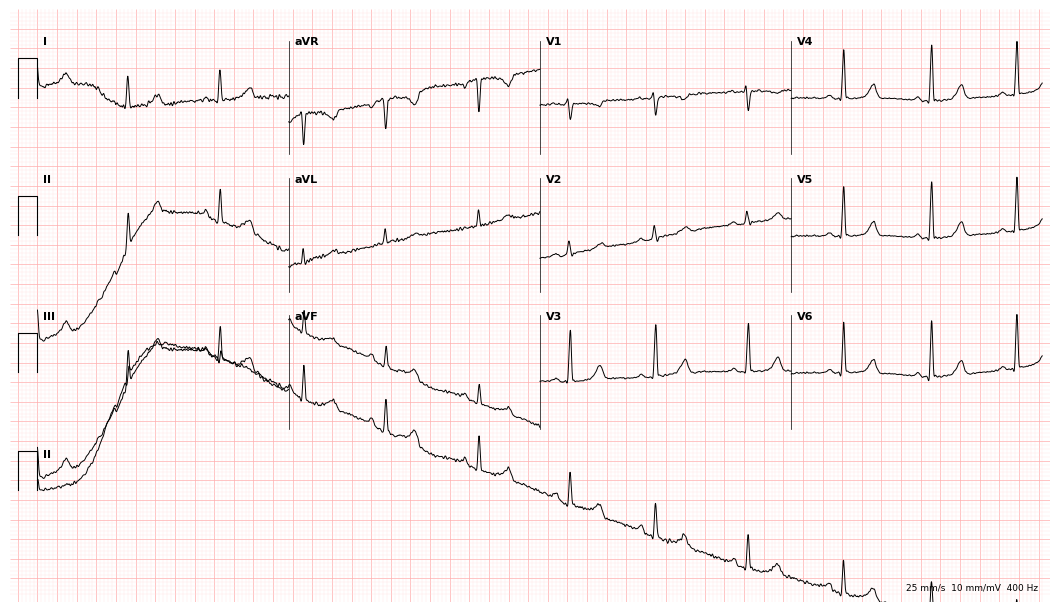
Standard 12-lead ECG recorded from a 39-year-old female patient (10.2-second recording at 400 Hz). Read as a normal ECG.